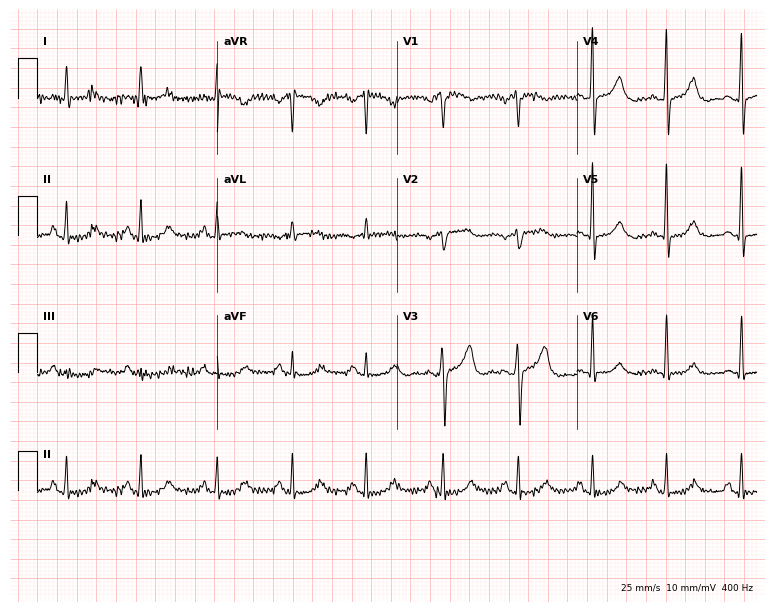
12-lead ECG from a 67-year-old female patient. Recorded interpretation: within normal limits.